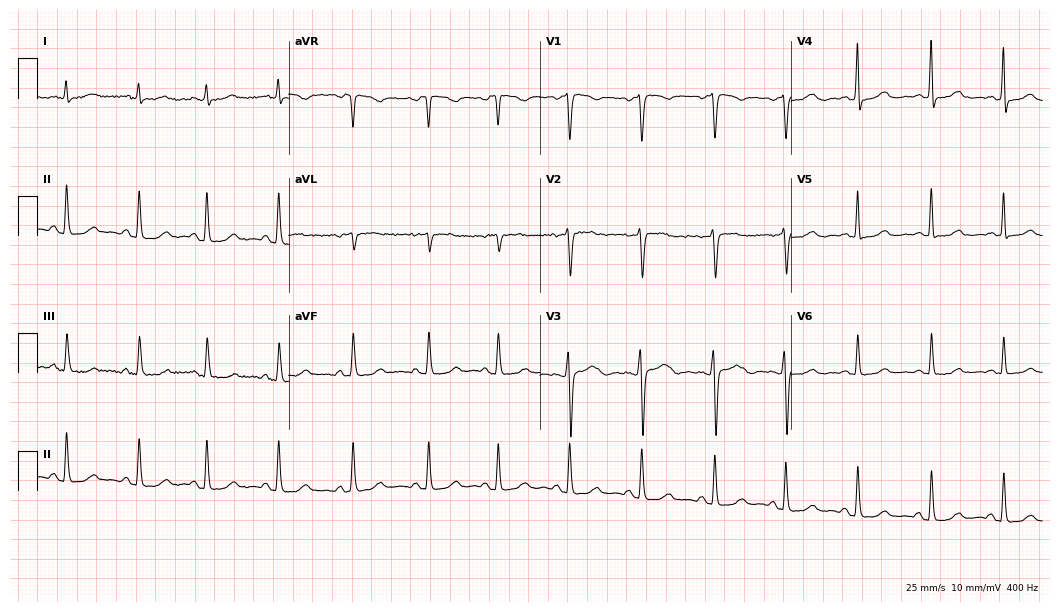
Standard 12-lead ECG recorded from a female patient, 44 years old (10.2-second recording at 400 Hz). Read as a normal ECG.